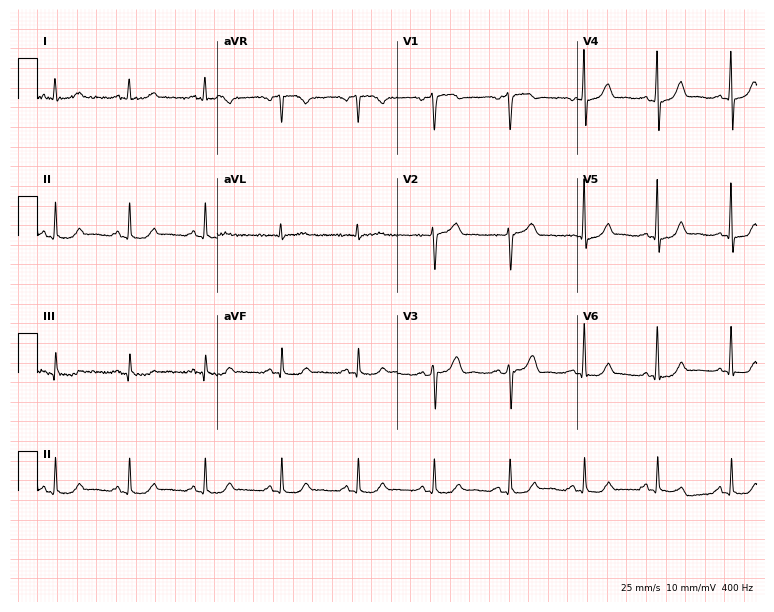
Standard 12-lead ECG recorded from a male patient, 66 years old. None of these six findings is recorded: first-degree AV block, right bundle branch block, left bundle branch block, sinus bradycardia, atrial fibrillation, sinus tachycardia. Findings outside these six are not listed.